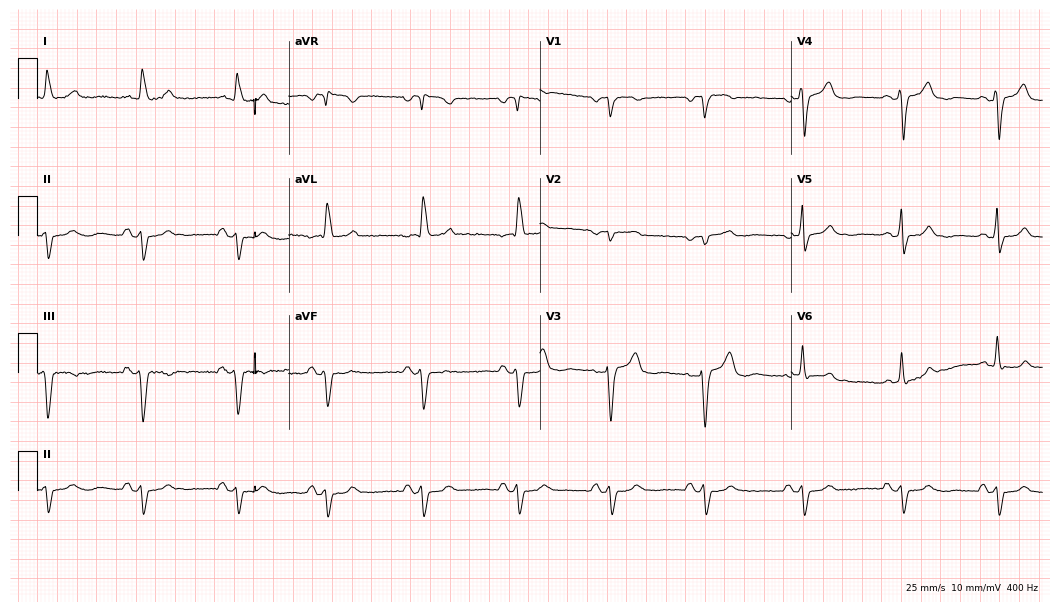
12-lead ECG from a 71-year-old female patient. Screened for six findings — first-degree AV block, right bundle branch block, left bundle branch block, sinus bradycardia, atrial fibrillation, sinus tachycardia — none is recorded. Findings outside these six are not listed.